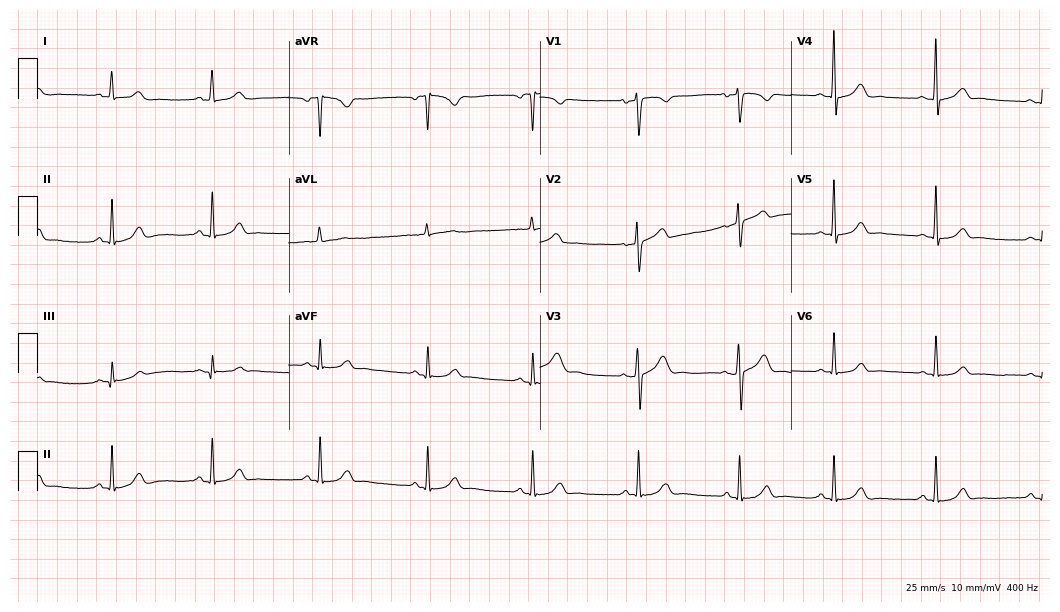
ECG — a 36-year-old woman. Labelled as a normal ECG.